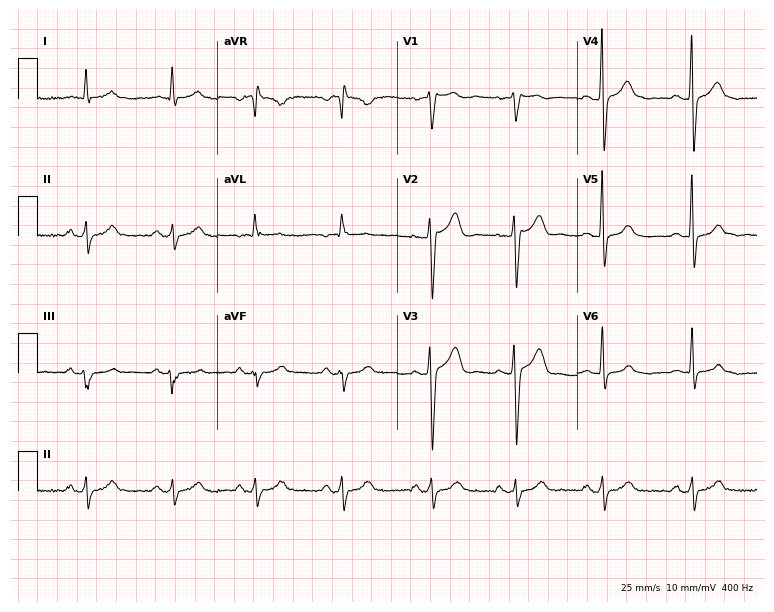
ECG — a man, 61 years old. Screened for six findings — first-degree AV block, right bundle branch block, left bundle branch block, sinus bradycardia, atrial fibrillation, sinus tachycardia — none is recorded.